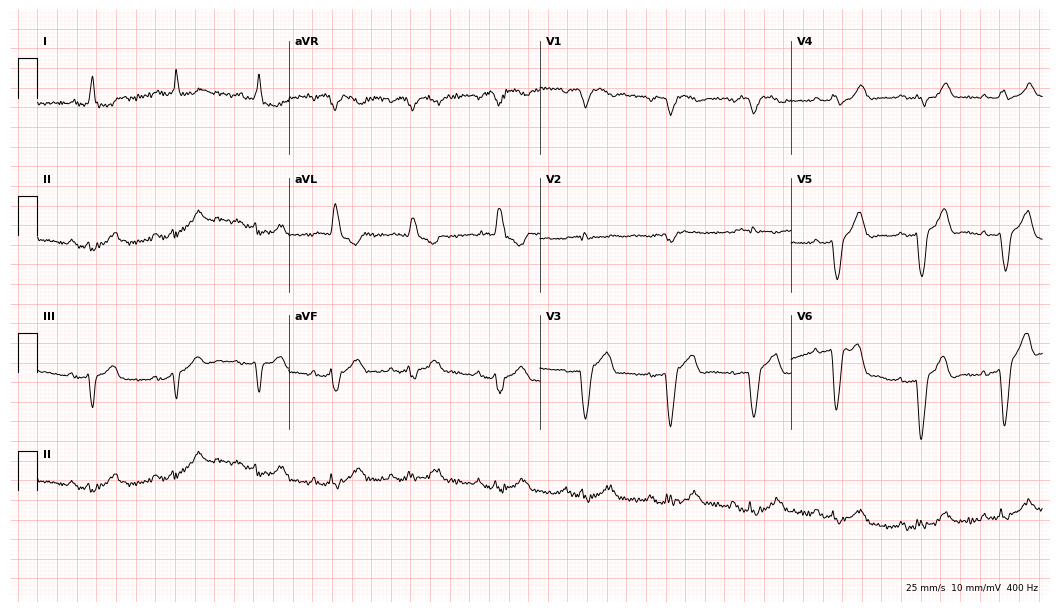
Standard 12-lead ECG recorded from a male patient, 81 years old. None of these six findings is recorded: first-degree AV block, right bundle branch block, left bundle branch block, sinus bradycardia, atrial fibrillation, sinus tachycardia. Only these six findings were labelled.